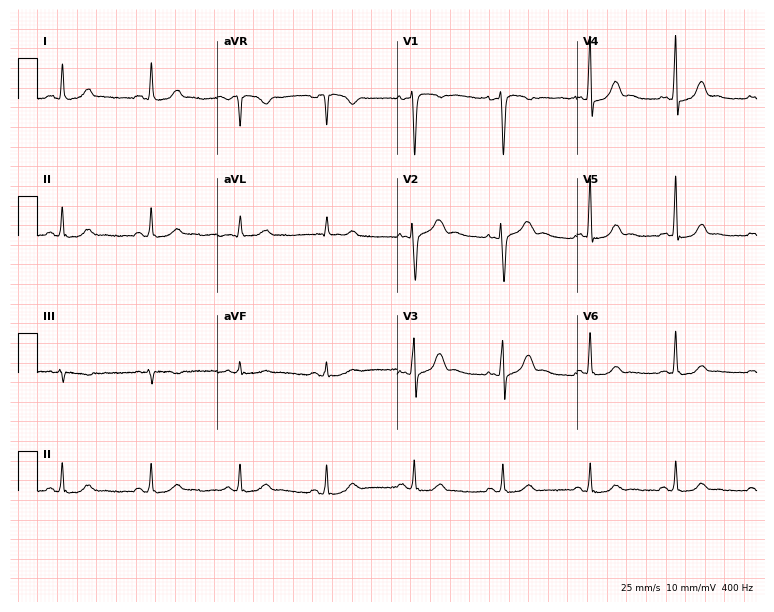
Standard 12-lead ECG recorded from a female patient, 49 years old. None of these six findings is recorded: first-degree AV block, right bundle branch block, left bundle branch block, sinus bradycardia, atrial fibrillation, sinus tachycardia.